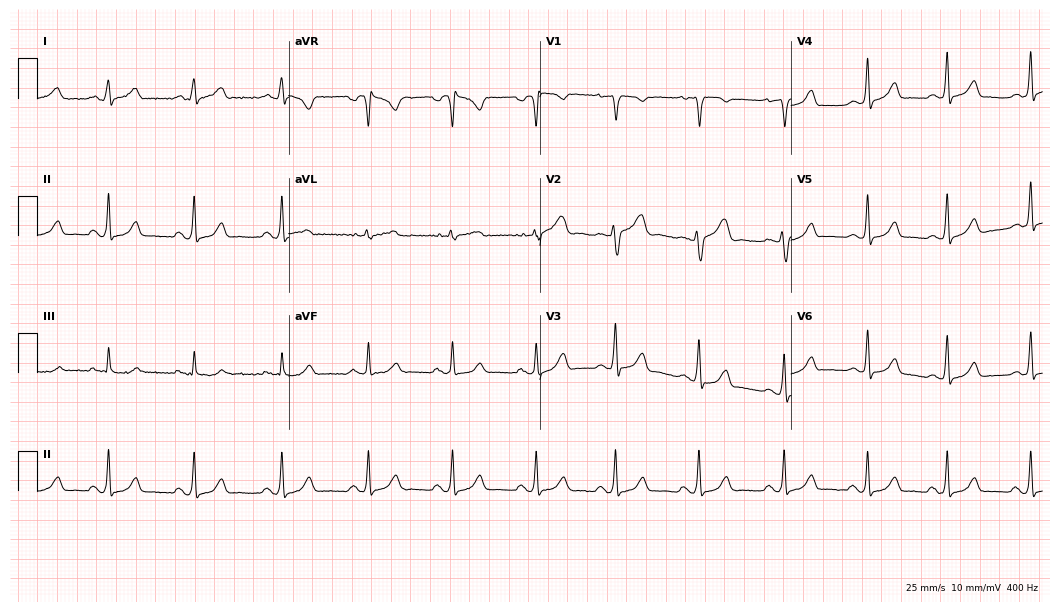
12-lead ECG from a woman, 19 years old (10.2-second recording at 400 Hz). No first-degree AV block, right bundle branch block, left bundle branch block, sinus bradycardia, atrial fibrillation or sinus tachycardia recorded for this tracing.